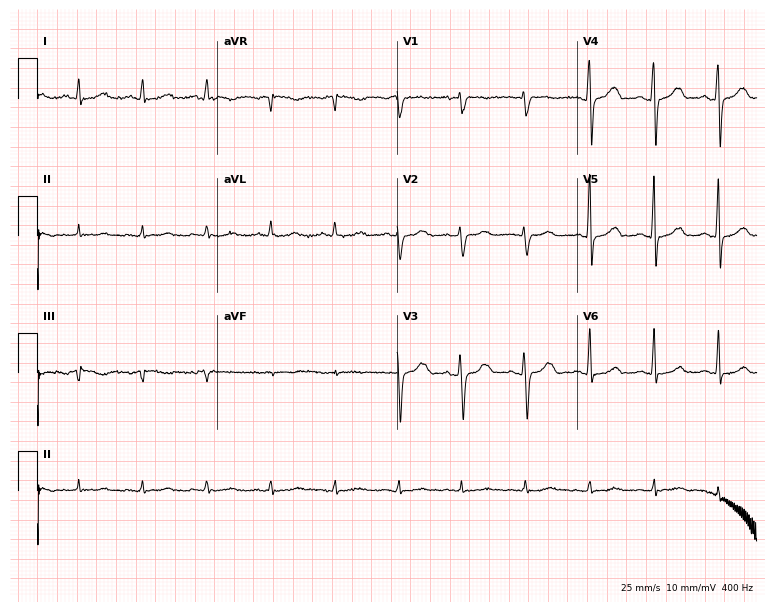
Standard 12-lead ECG recorded from a female patient, 67 years old (7.3-second recording at 400 Hz). None of these six findings is recorded: first-degree AV block, right bundle branch block, left bundle branch block, sinus bradycardia, atrial fibrillation, sinus tachycardia. Only these six findings were labelled.